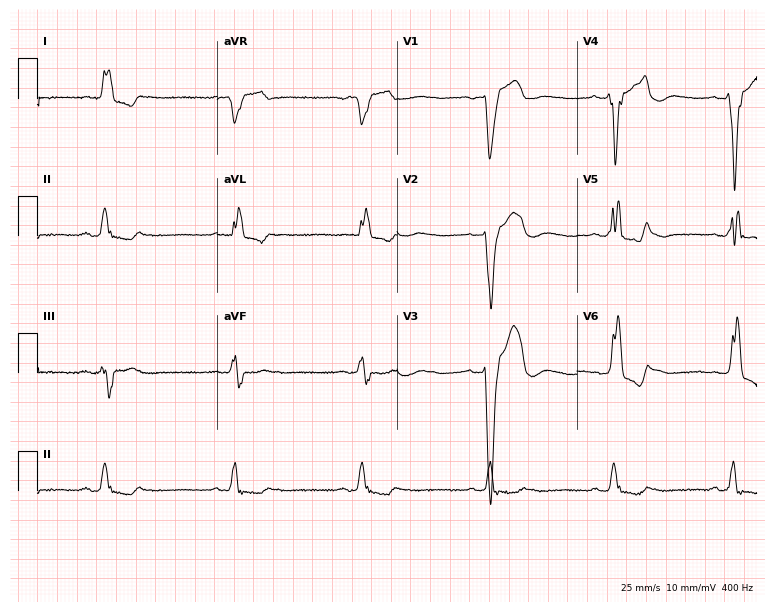
Electrocardiogram, a 79-year-old male. Interpretation includes left bundle branch block, sinus bradycardia (a sinus rate of 50 beats per minute or less).